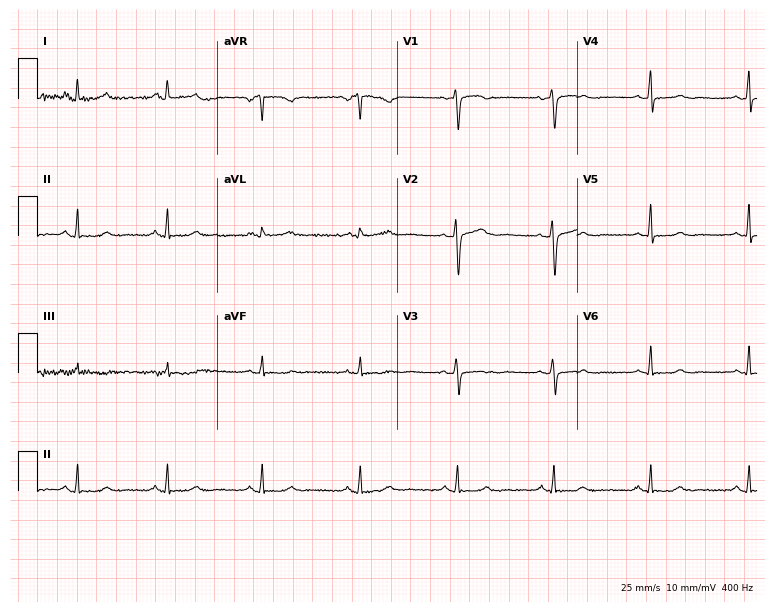
12-lead ECG (7.3-second recording at 400 Hz) from a female patient, 61 years old. Labelled as a normal ECG.